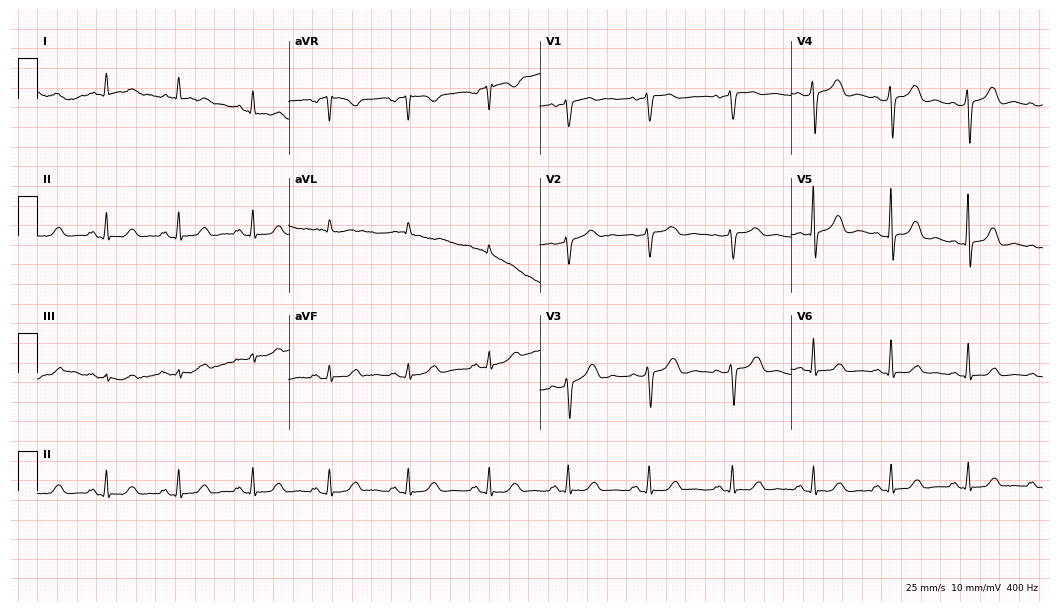
Electrocardiogram (10.2-second recording at 400 Hz), a 73-year-old woman. Overall reading on record: normal ECG.